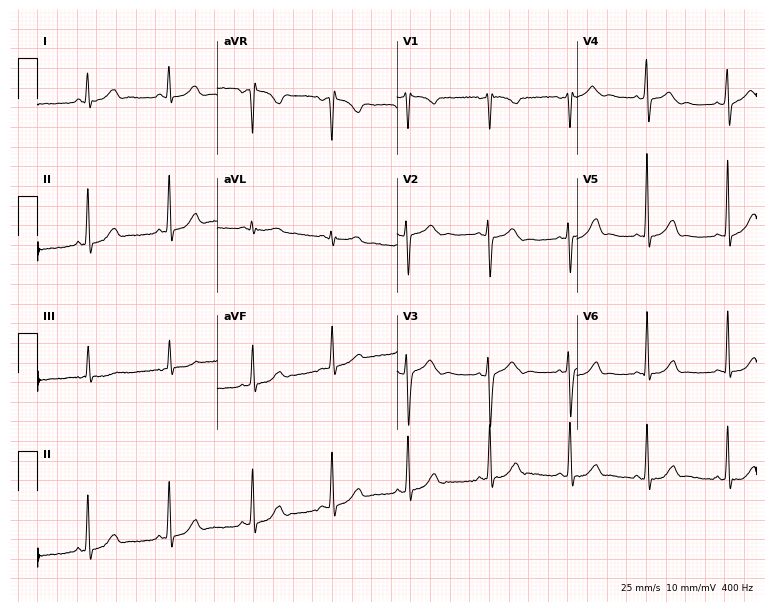
12-lead ECG from a female patient, 17 years old (7.3-second recording at 400 Hz). No first-degree AV block, right bundle branch block, left bundle branch block, sinus bradycardia, atrial fibrillation or sinus tachycardia recorded for this tracing. Findings outside these six are not listed.